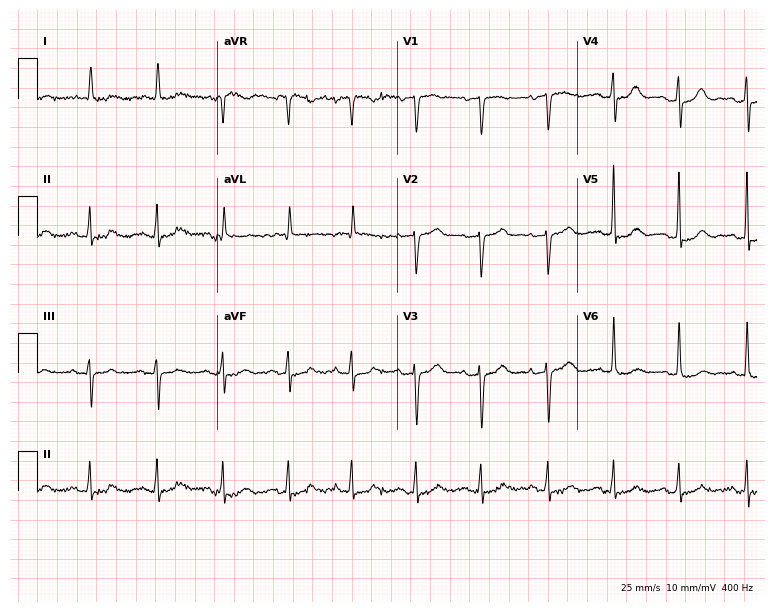
Standard 12-lead ECG recorded from an 83-year-old female patient (7.3-second recording at 400 Hz). Read as a normal ECG.